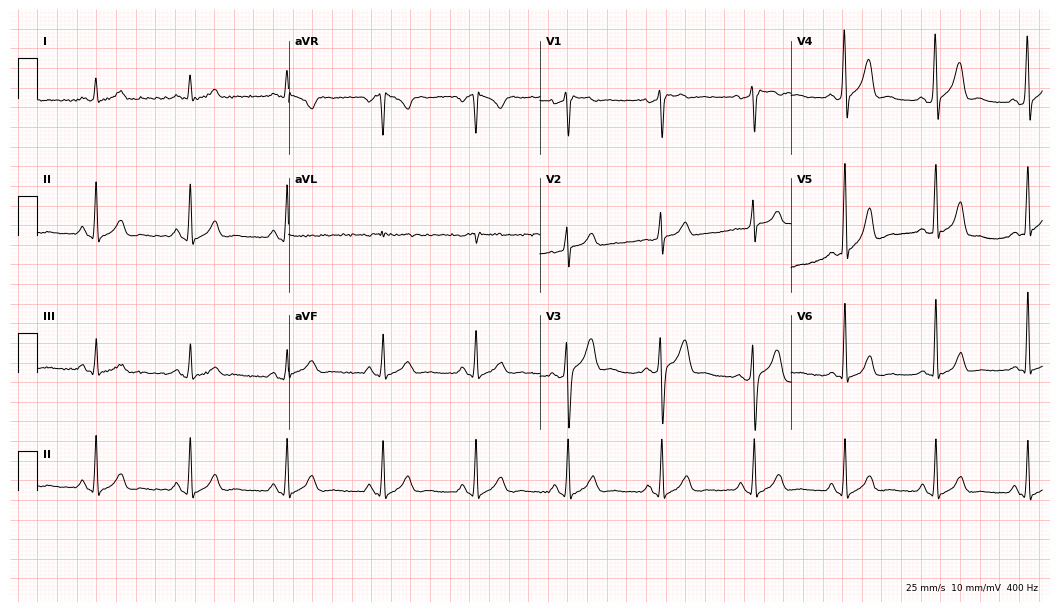
Electrocardiogram, a male, 36 years old. Overall reading on record: normal ECG.